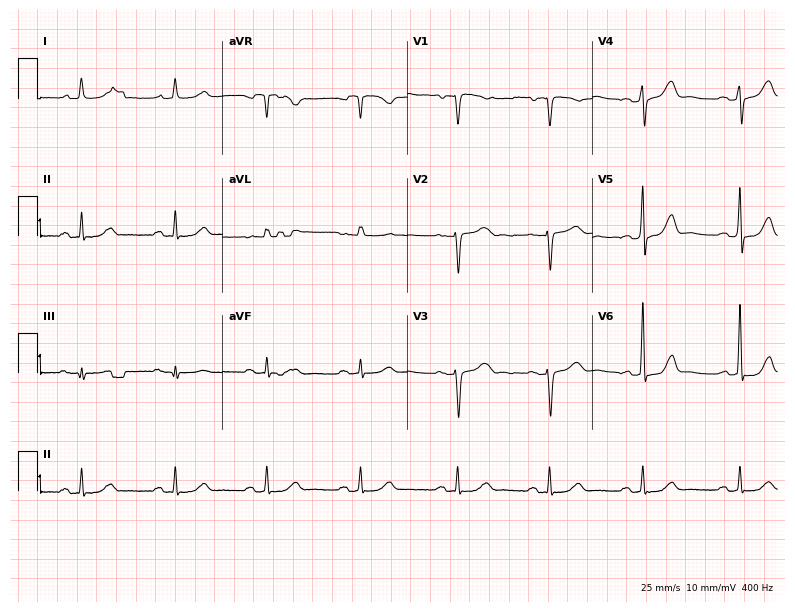
Electrocardiogram (7.5-second recording at 400 Hz), a woman, 72 years old. Overall reading on record: normal ECG.